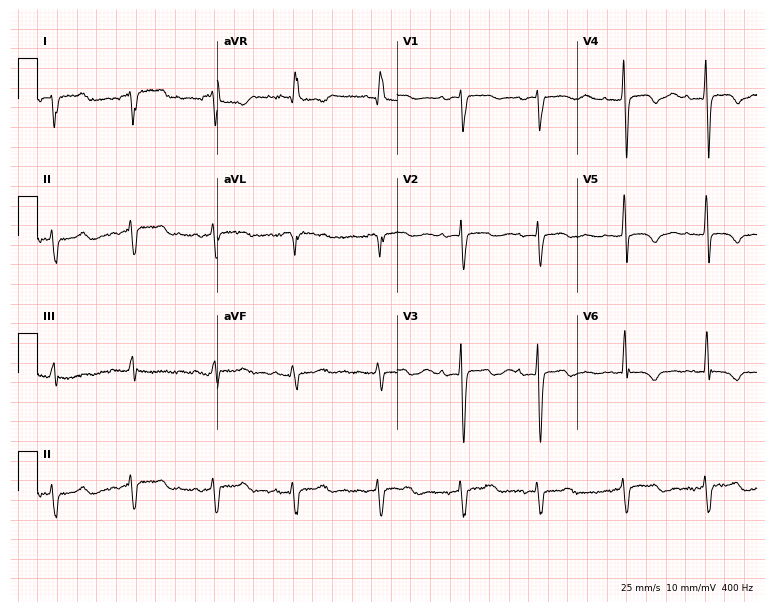
Electrocardiogram (7.3-second recording at 400 Hz), an 81-year-old female. Of the six screened findings (first-degree AV block, right bundle branch block (RBBB), left bundle branch block (LBBB), sinus bradycardia, atrial fibrillation (AF), sinus tachycardia), none is recorded.